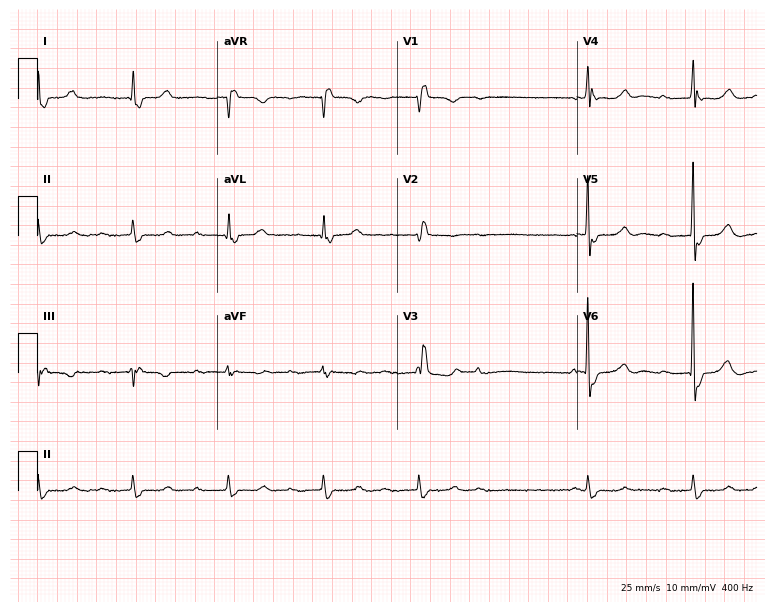
Resting 12-lead electrocardiogram (7.3-second recording at 400 Hz). Patient: a woman, 77 years old. None of these six findings is recorded: first-degree AV block, right bundle branch block, left bundle branch block, sinus bradycardia, atrial fibrillation, sinus tachycardia.